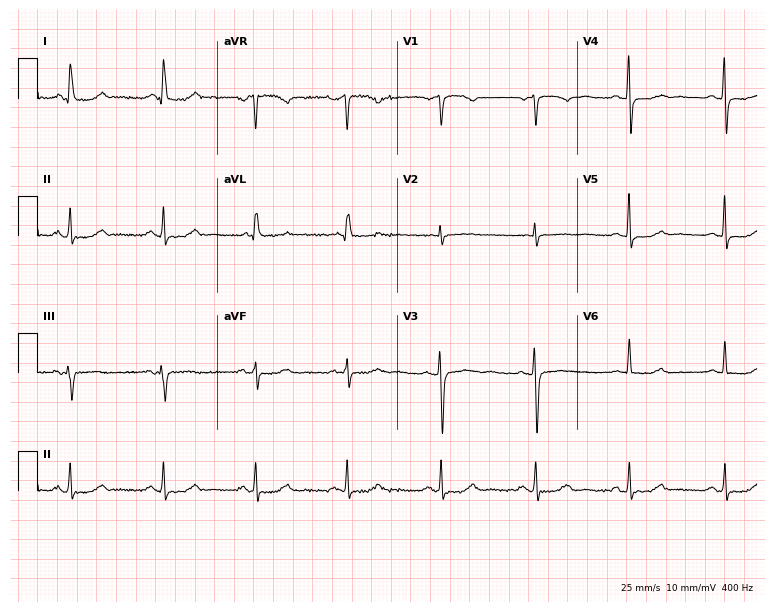
Electrocardiogram, a 60-year-old female patient. Overall reading on record: normal ECG.